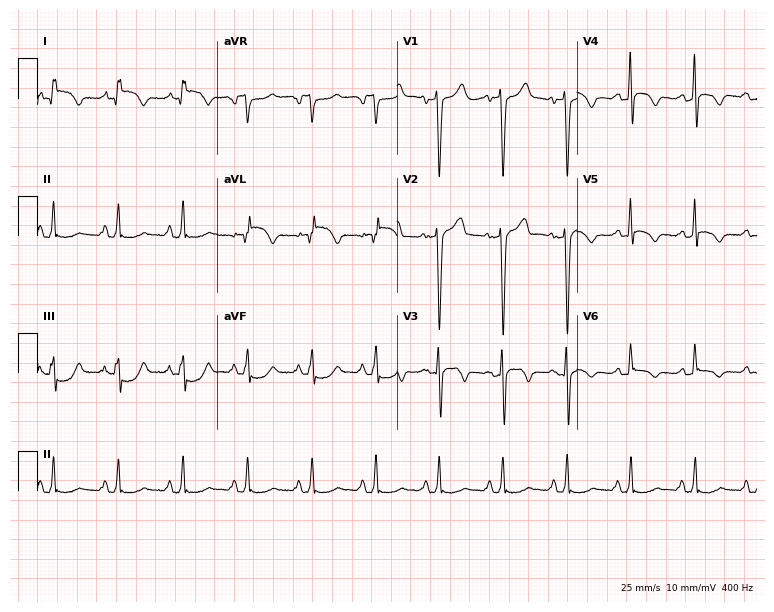
12-lead ECG from a male, 63 years old (7.3-second recording at 400 Hz). No first-degree AV block, right bundle branch block, left bundle branch block, sinus bradycardia, atrial fibrillation or sinus tachycardia recorded for this tracing.